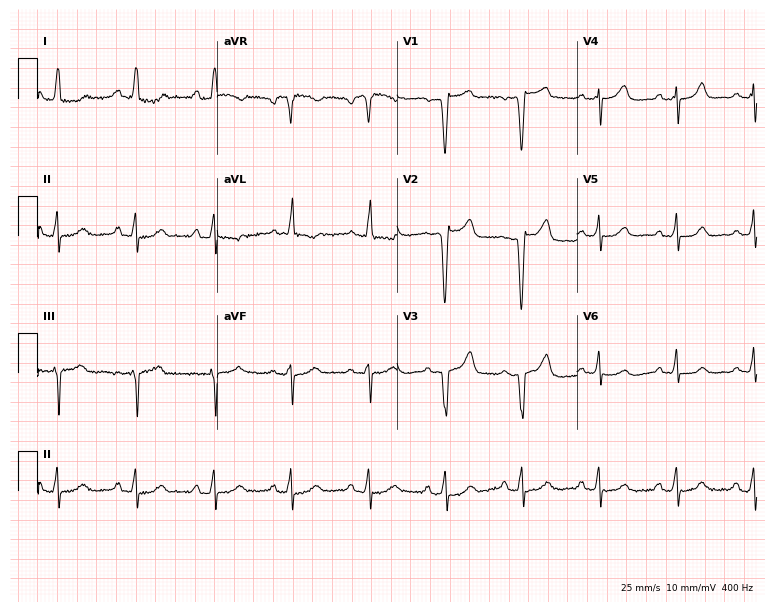
12-lead ECG from a woman, 41 years old. Labelled as a normal ECG.